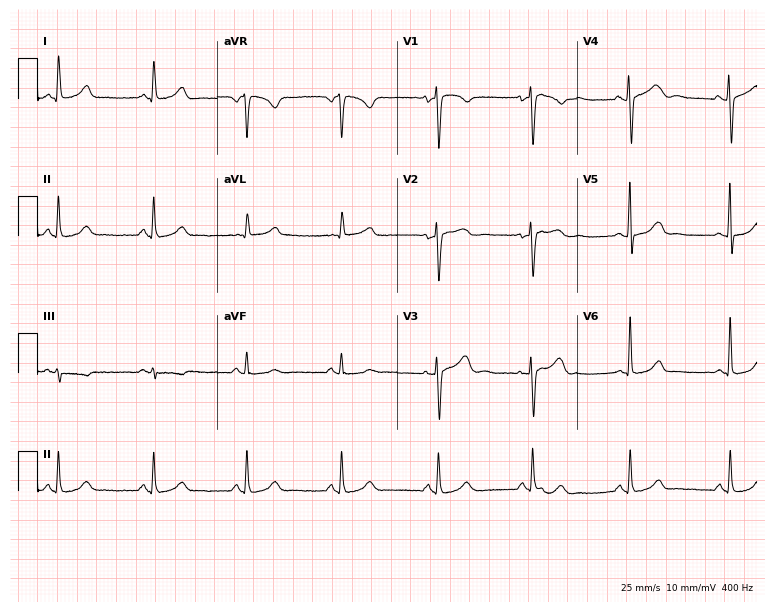
ECG (7.3-second recording at 400 Hz) — a 34-year-old female. Labelled as a normal ECG.